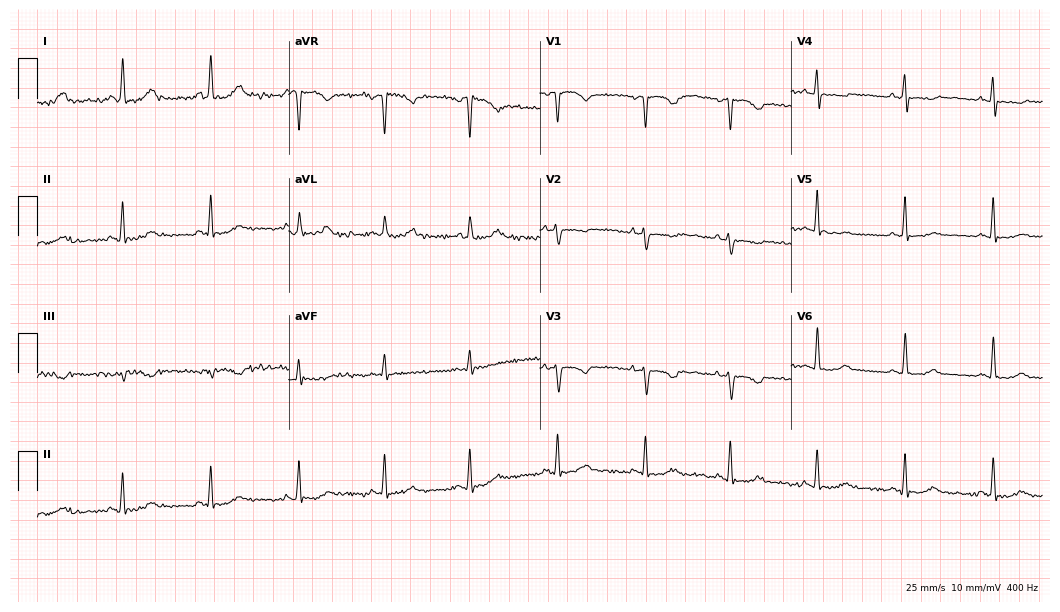
ECG — a 65-year-old woman. Labelled as a normal ECG.